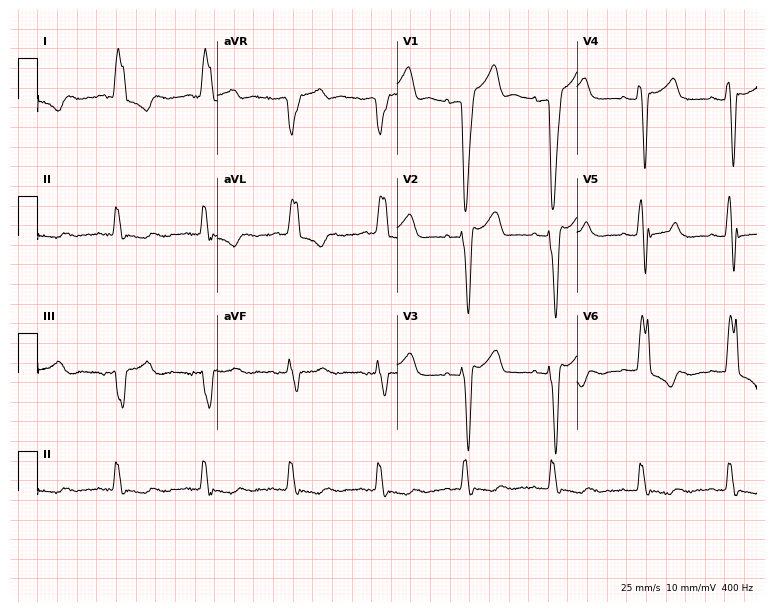
Electrocardiogram, a woman, 85 years old. Interpretation includes left bundle branch block.